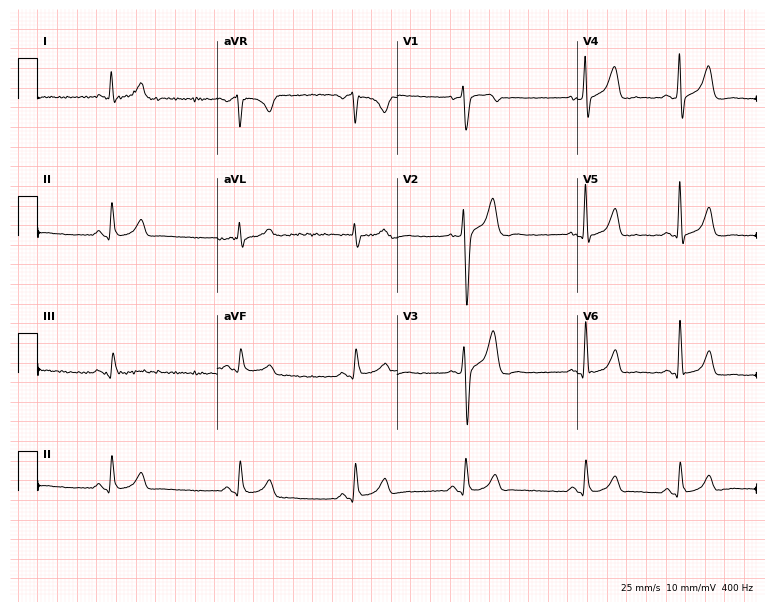
Standard 12-lead ECG recorded from a 36-year-old male patient (7.3-second recording at 400 Hz). None of these six findings is recorded: first-degree AV block, right bundle branch block, left bundle branch block, sinus bradycardia, atrial fibrillation, sinus tachycardia.